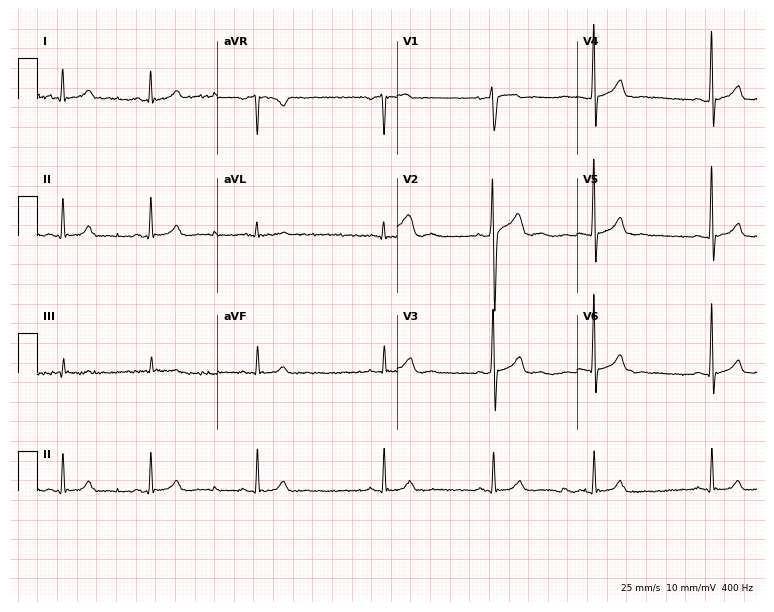
Electrocardiogram, a man, 32 years old. Overall reading on record: normal ECG.